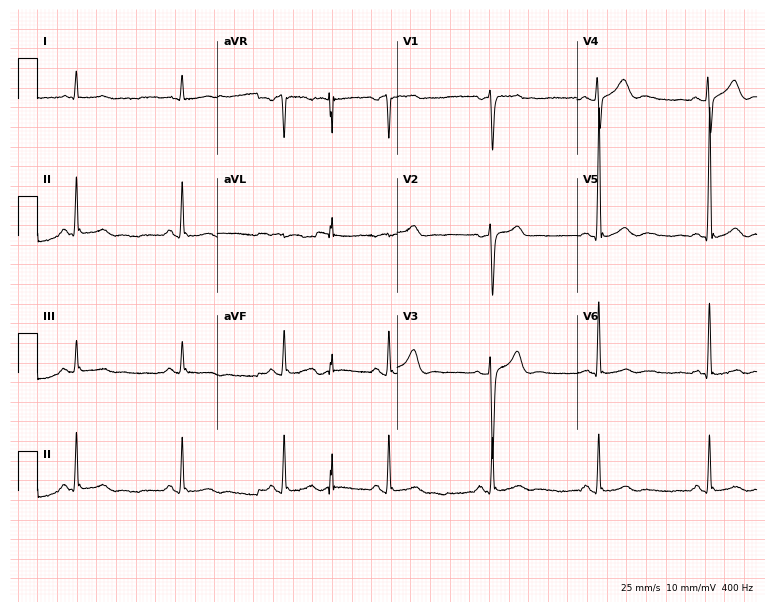
12-lead ECG (7.3-second recording at 400 Hz) from a man, 58 years old. Labelled as a normal ECG.